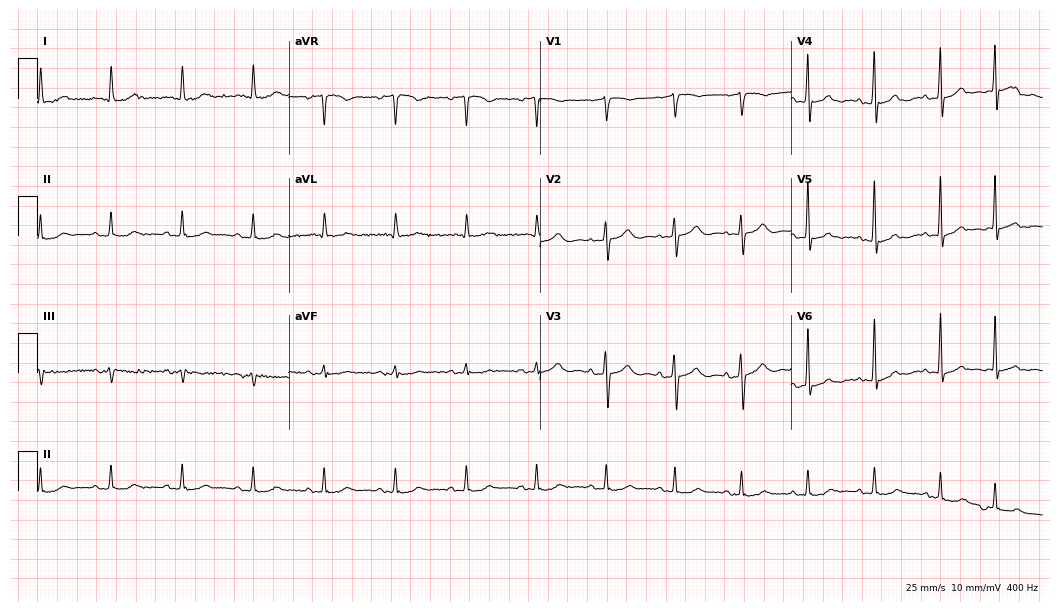
12-lead ECG from a female, 83 years old (10.2-second recording at 400 Hz). No first-degree AV block, right bundle branch block, left bundle branch block, sinus bradycardia, atrial fibrillation or sinus tachycardia recorded for this tracing. Only these six findings were labelled.